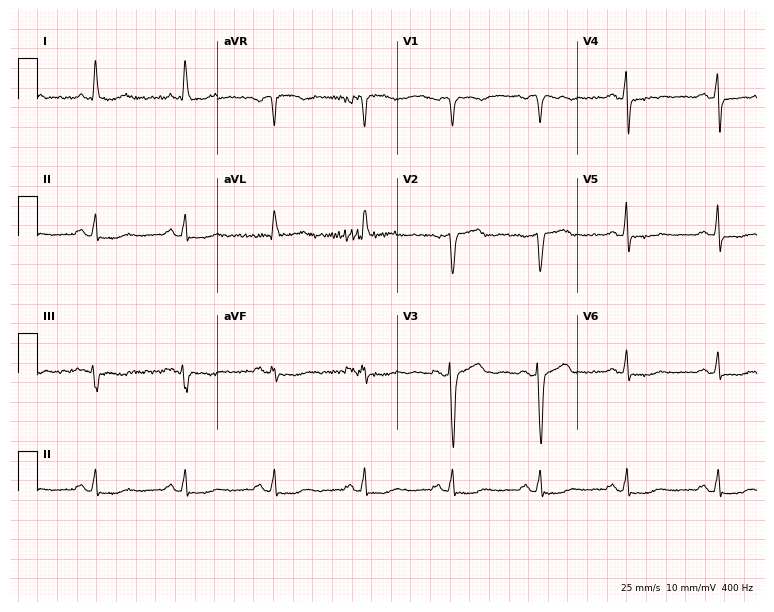
Electrocardiogram, a woman, 58 years old. Of the six screened findings (first-degree AV block, right bundle branch block, left bundle branch block, sinus bradycardia, atrial fibrillation, sinus tachycardia), none is recorded.